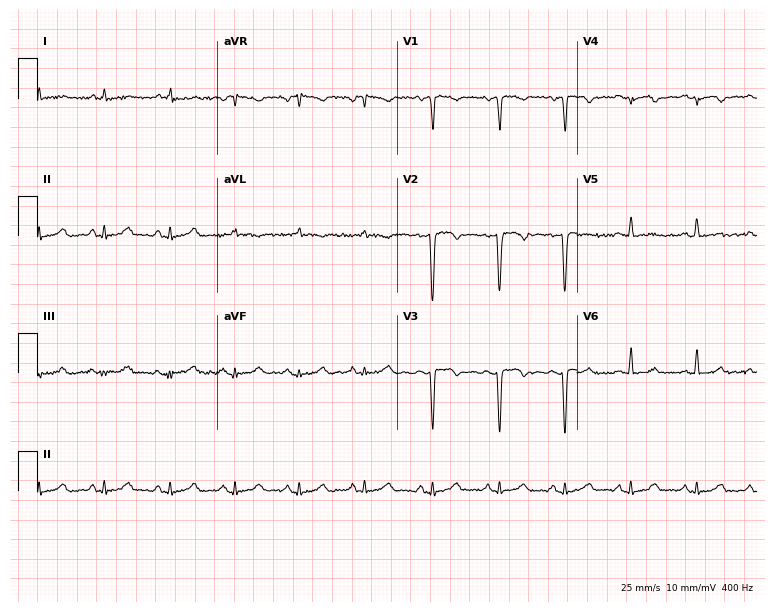
Standard 12-lead ECG recorded from a female, 31 years old. Read as a normal ECG.